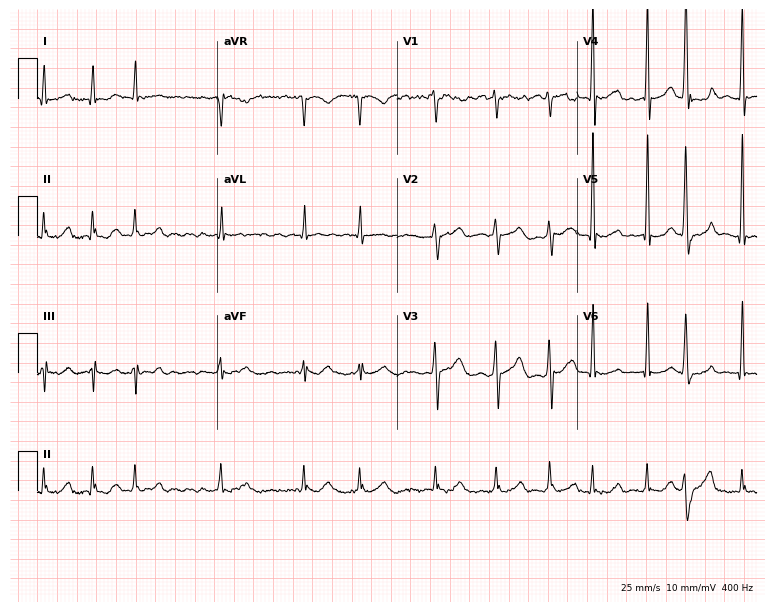
ECG (7.3-second recording at 400 Hz) — a 65-year-old male patient. Findings include atrial fibrillation.